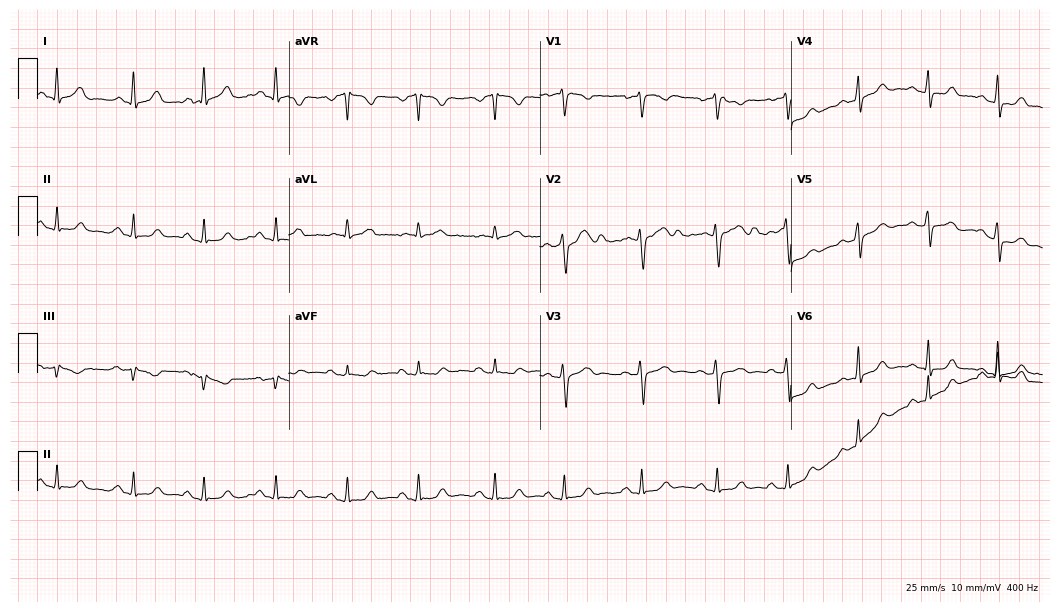
Electrocardiogram, a woman, 46 years old. Overall reading on record: normal ECG.